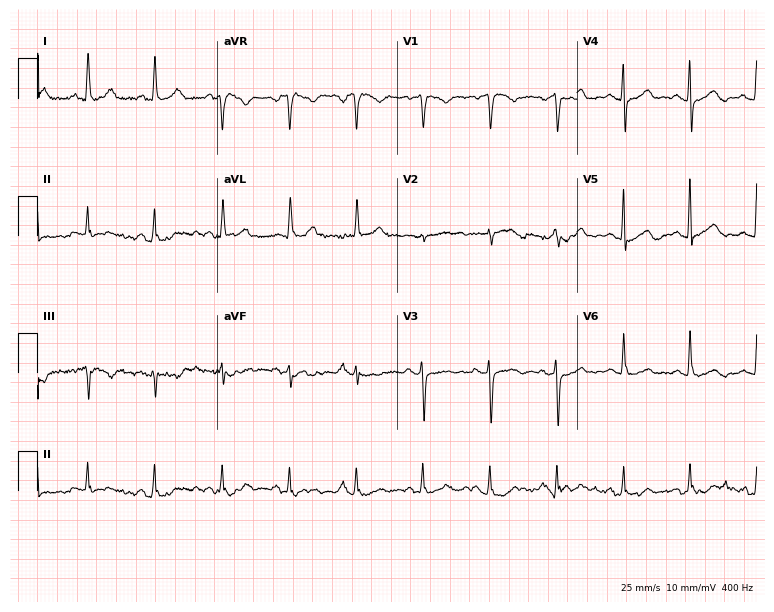
12-lead ECG (7.3-second recording at 400 Hz) from a female patient, 76 years old. Labelled as a normal ECG.